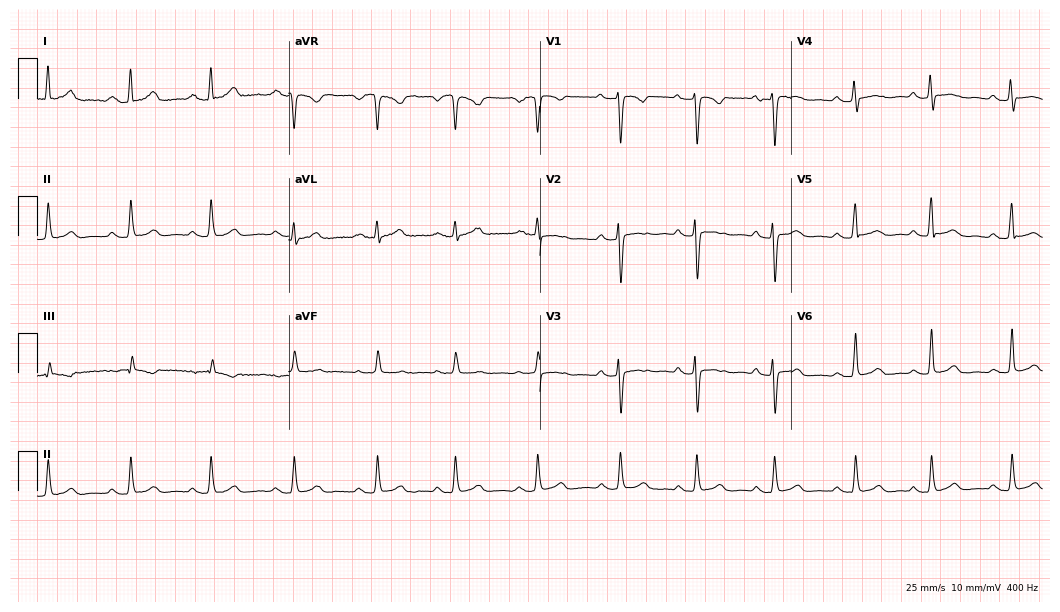
Electrocardiogram (10.2-second recording at 400 Hz), a 30-year-old female patient. Overall reading on record: normal ECG.